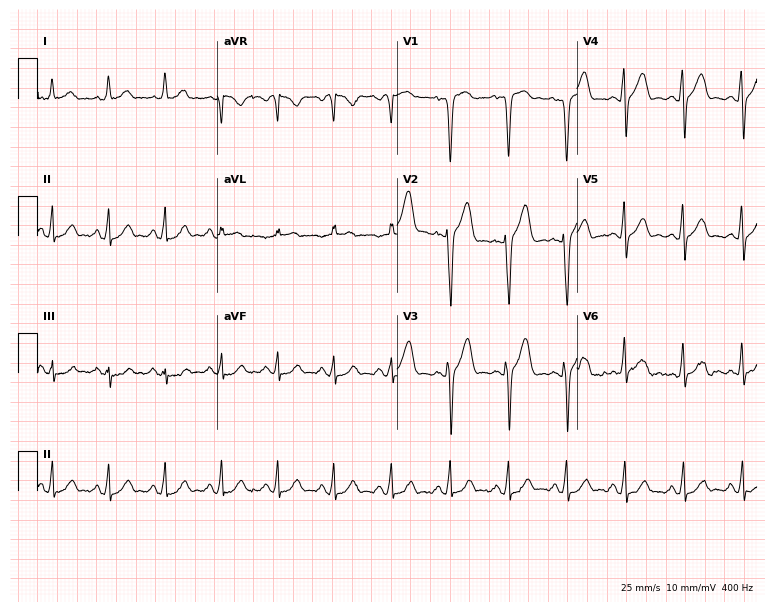
Electrocardiogram (7.3-second recording at 400 Hz), a male, 36 years old. Overall reading on record: normal ECG.